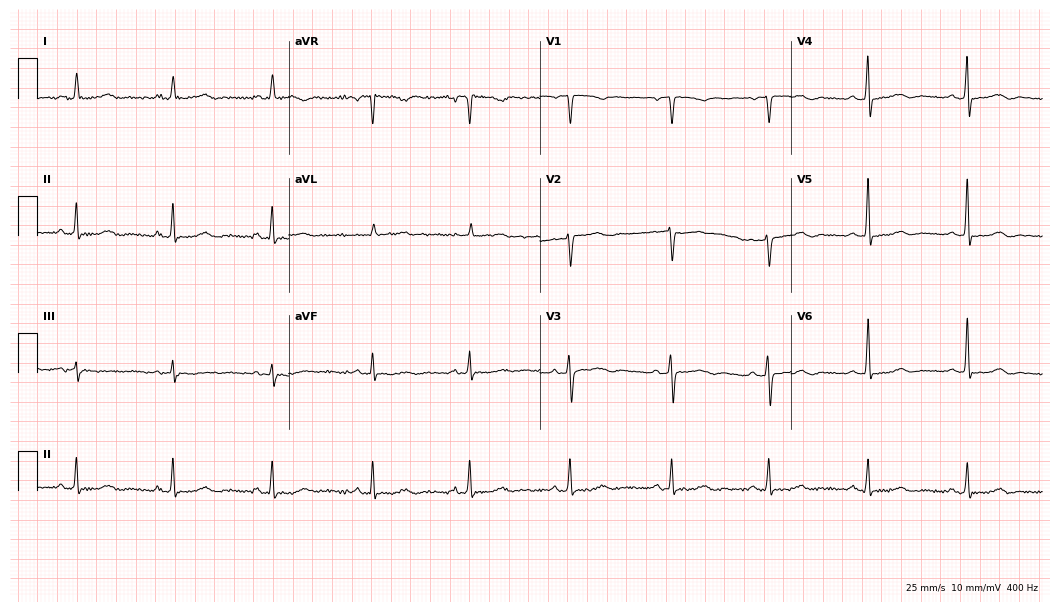
Electrocardiogram (10.2-second recording at 400 Hz), a female patient, 78 years old. Overall reading on record: normal ECG.